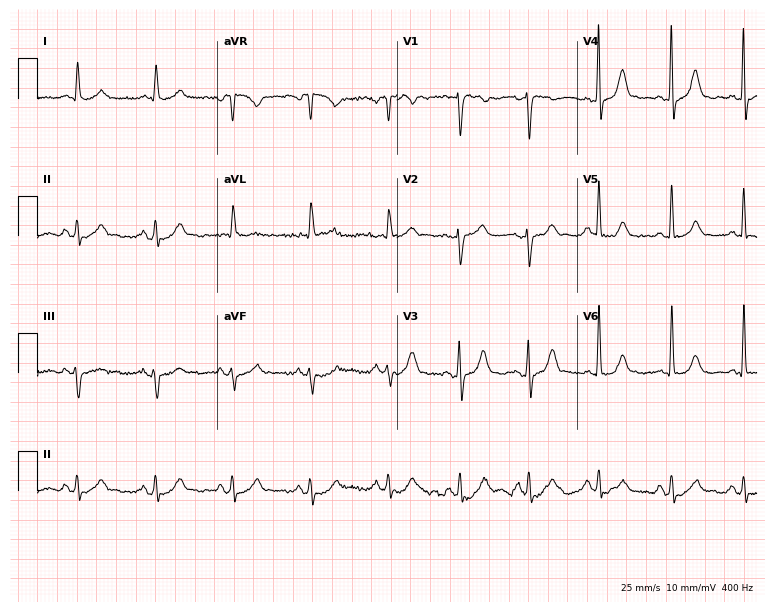
Standard 12-lead ECG recorded from an 82-year-old woman. None of these six findings is recorded: first-degree AV block, right bundle branch block (RBBB), left bundle branch block (LBBB), sinus bradycardia, atrial fibrillation (AF), sinus tachycardia.